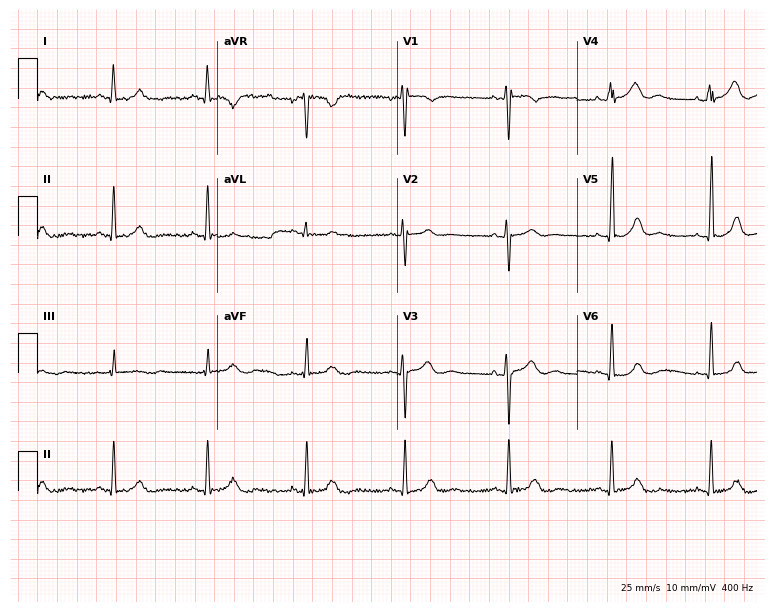
ECG (7.3-second recording at 400 Hz) — a female patient, 50 years old. Screened for six findings — first-degree AV block, right bundle branch block, left bundle branch block, sinus bradycardia, atrial fibrillation, sinus tachycardia — none is recorded. Findings outside these six are not listed.